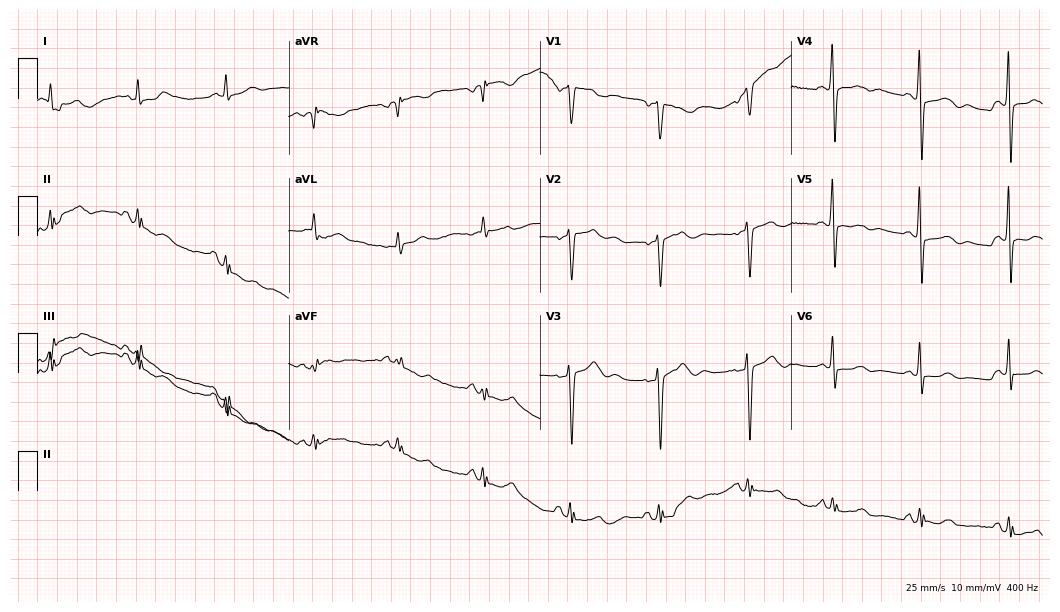
Standard 12-lead ECG recorded from a female patient, 65 years old. None of these six findings is recorded: first-degree AV block, right bundle branch block (RBBB), left bundle branch block (LBBB), sinus bradycardia, atrial fibrillation (AF), sinus tachycardia.